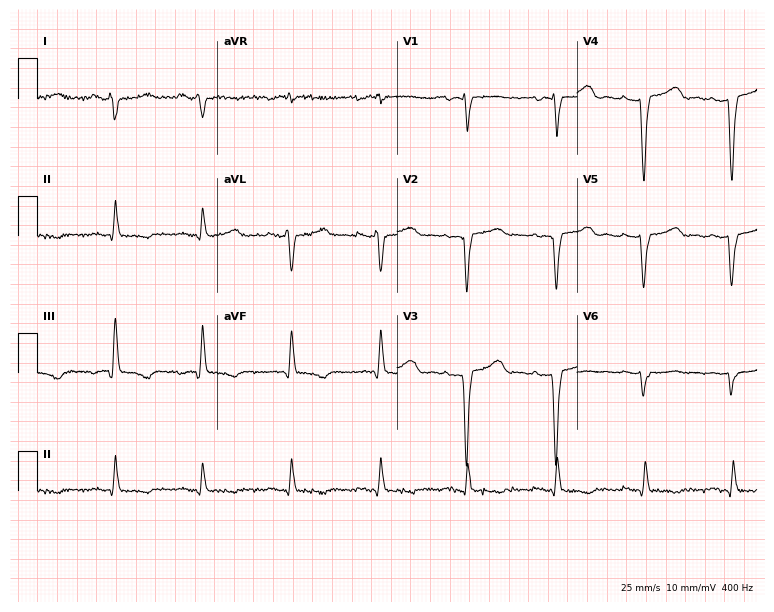
Standard 12-lead ECG recorded from a woman, 64 years old. None of these six findings is recorded: first-degree AV block, right bundle branch block (RBBB), left bundle branch block (LBBB), sinus bradycardia, atrial fibrillation (AF), sinus tachycardia.